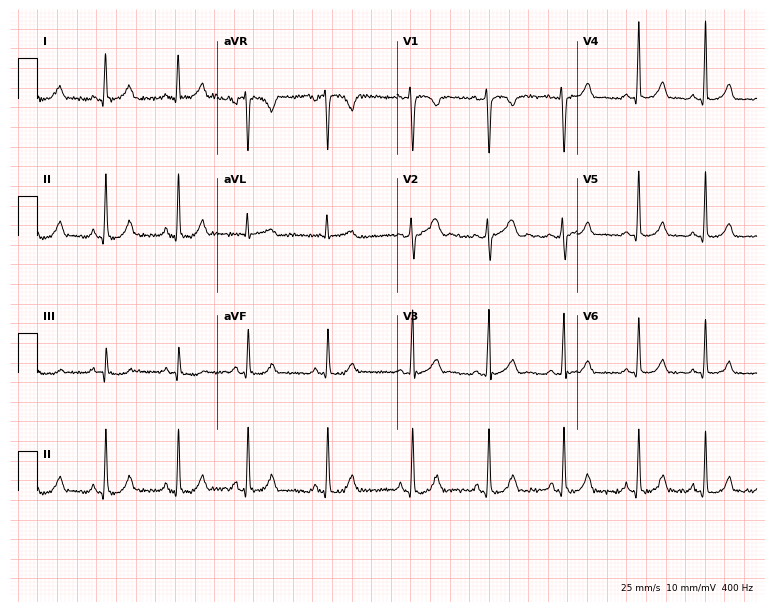
ECG (7.3-second recording at 400 Hz) — a woman, 32 years old. Screened for six findings — first-degree AV block, right bundle branch block (RBBB), left bundle branch block (LBBB), sinus bradycardia, atrial fibrillation (AF), sinus tachycardia — none is recorded. Other findings, if any, are not listed.